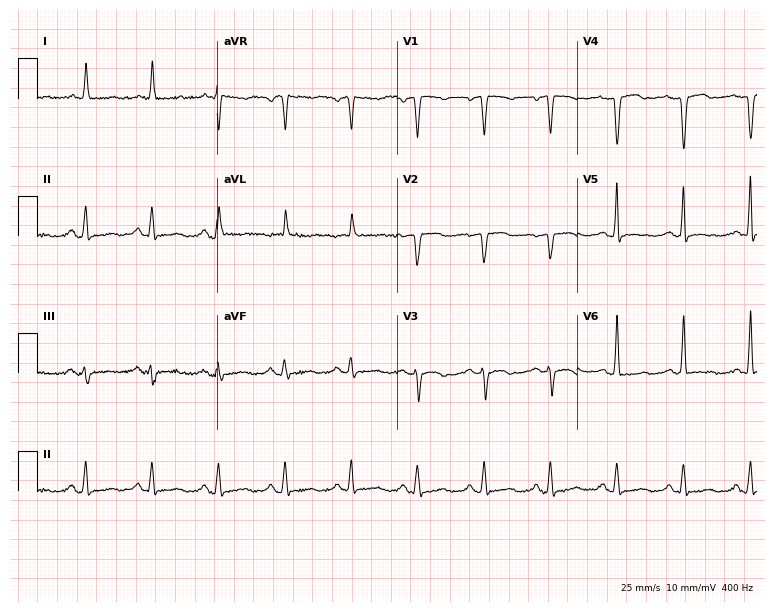
Standard 12-lead ECG recorded from a 62-year-old female patient. None of these six findings is recorded: first-degree AV block, right bundle branch block, left bundle branch block, sinus bradycardia, atrial fibrillation, sinus tachycardia. Only these six findings were labelled.